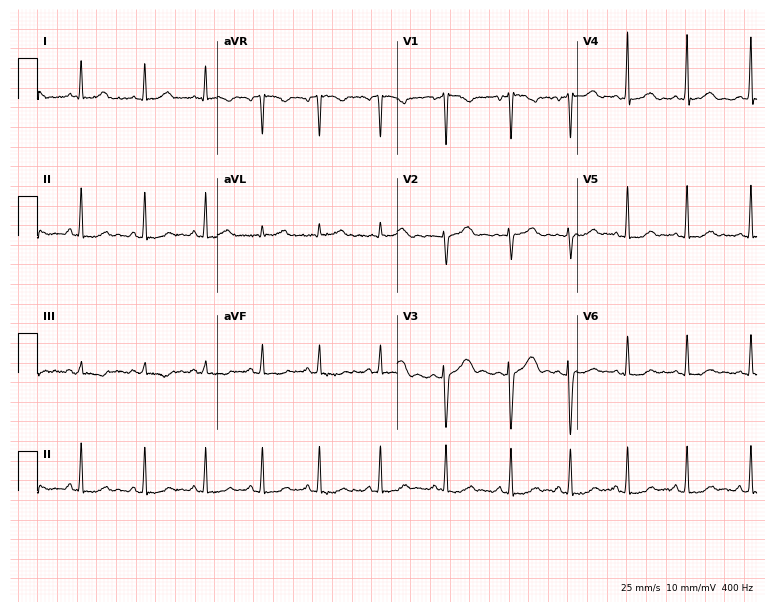
Electrocardiogram, a 21-year-old female patient. Overall reading on record: normal ECG.